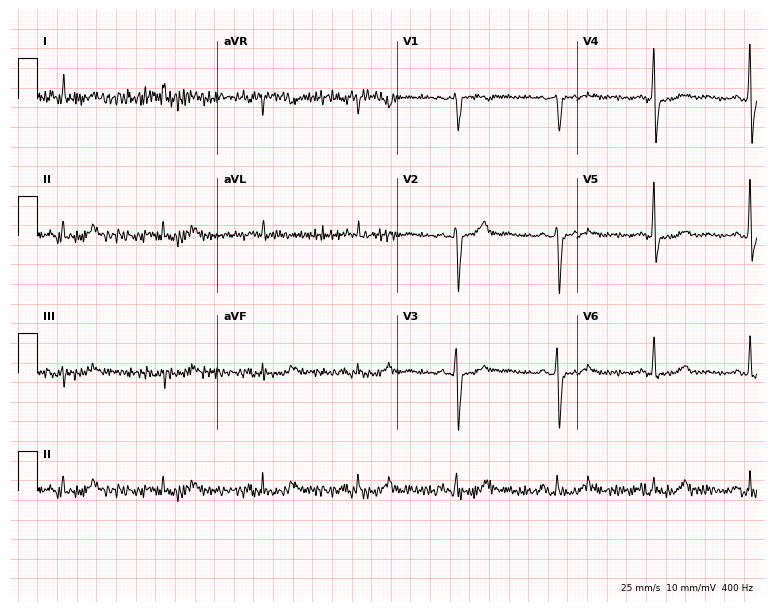
12-lead ECG from a 59-year-old woman (7.3-second recording at 400 Hz). No first-degree AV block, right bundle branch block, left bundle branch block, sinus bradycardia, atrial fibrillation or sinus tachycardia recorded for this tracing. Findings outside these six are not listed.